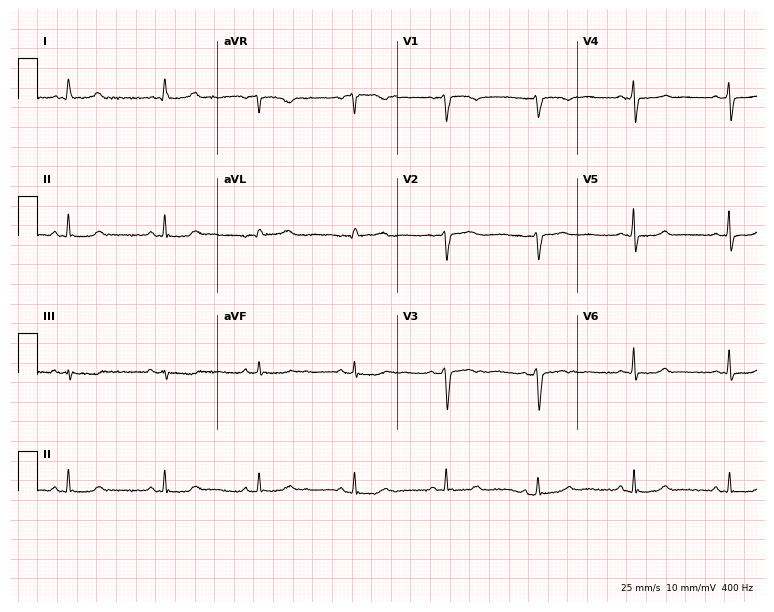
12-lead ECG from a female patient, 49 years old (7.3-second recording at 400 Hz). No first-degree AV block, right bundle branch block, left bundle branch block, sinus bradycardia, atrial fibrillation or sinus tachycardia recorded for this tracing. Findings outside these six are not listed.